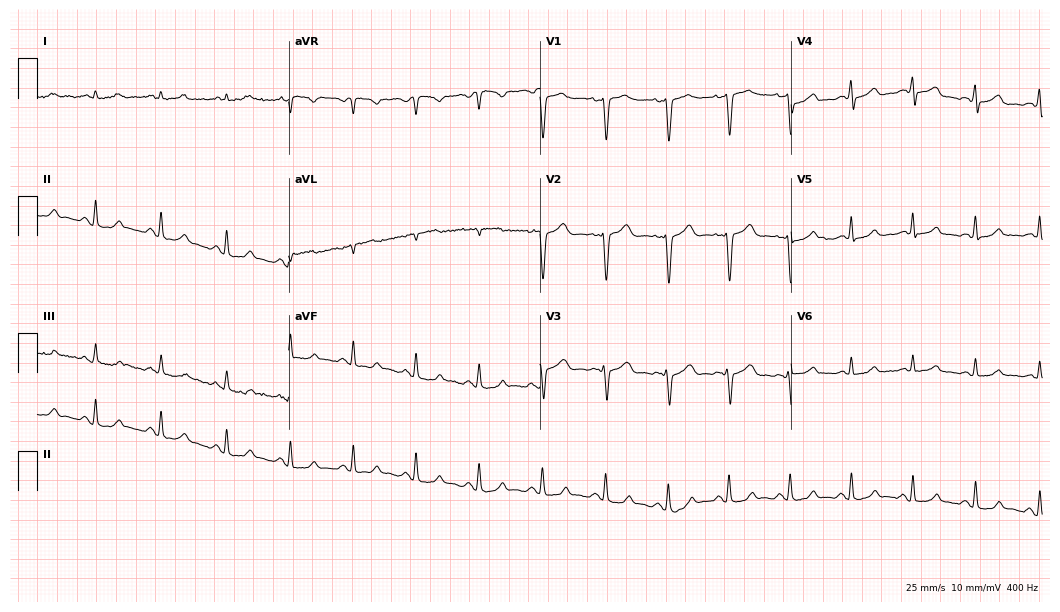
Electrocardiogram, a female patient, 41 years old. Of the six screened findings (first-degree AV block, right bundle branch block, left bundle branch block, sinus bradycardia, atrial fibrillation, sinus tachycardia), none is recorded.